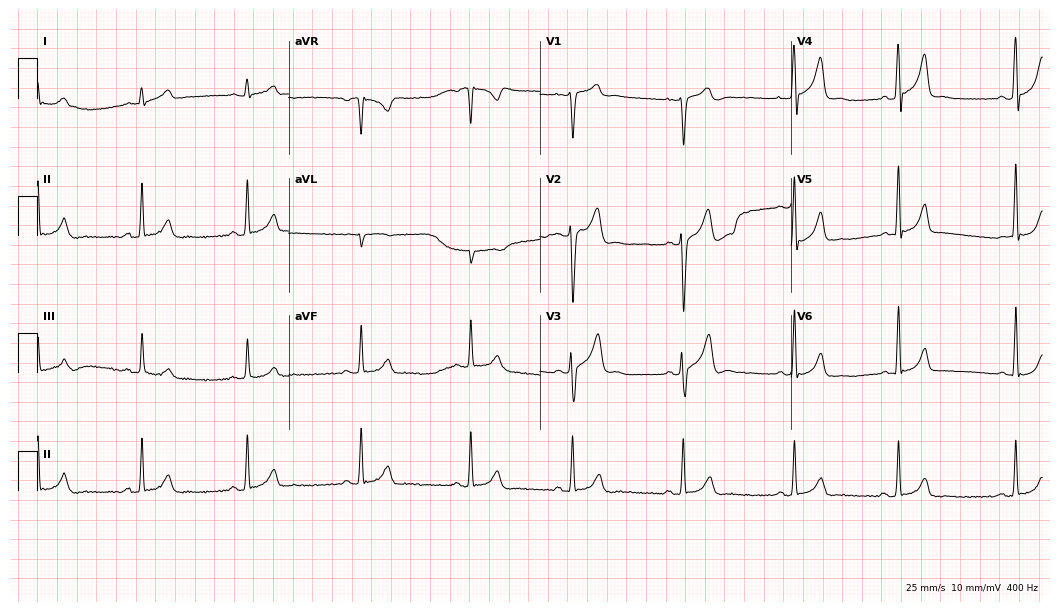
12-lead ECG from a man, 24 years old. Screened for six findings — first-degree AV block, right bundle branch block, left bundle branch block, sinus bradycardia, atrial fibrillation, sinus tachycardia — none is recorded.